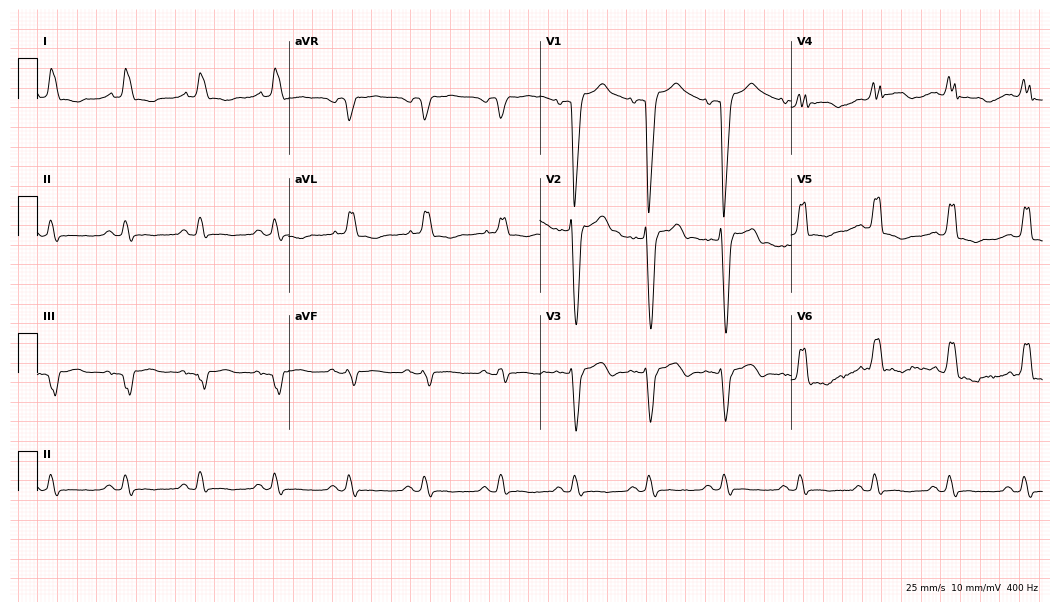
Electrocardiogram, an 82-year-old woman. Interpretation includes left bundle branch block (LBBB).